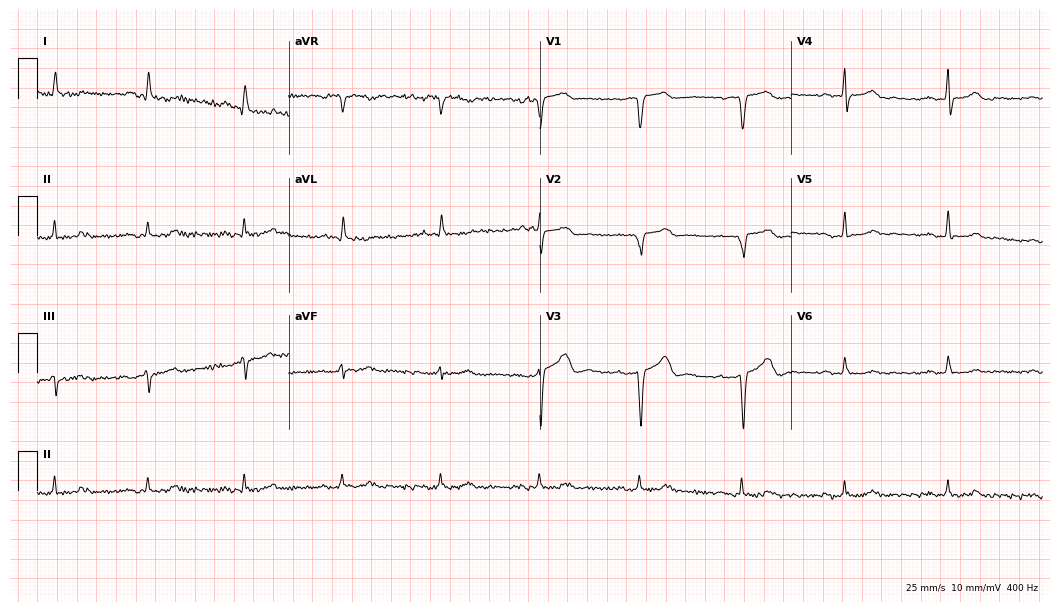
12-lead ECG from a 58-year-old man (10.2-second recording at 400 Hz). No first-degree AV block, right bundle branch block, left bundle branch block, sinus bradycardia, atrial fibrillation or sinus tachycardia recorded for this tracing. Other findings, if any, are not listed.